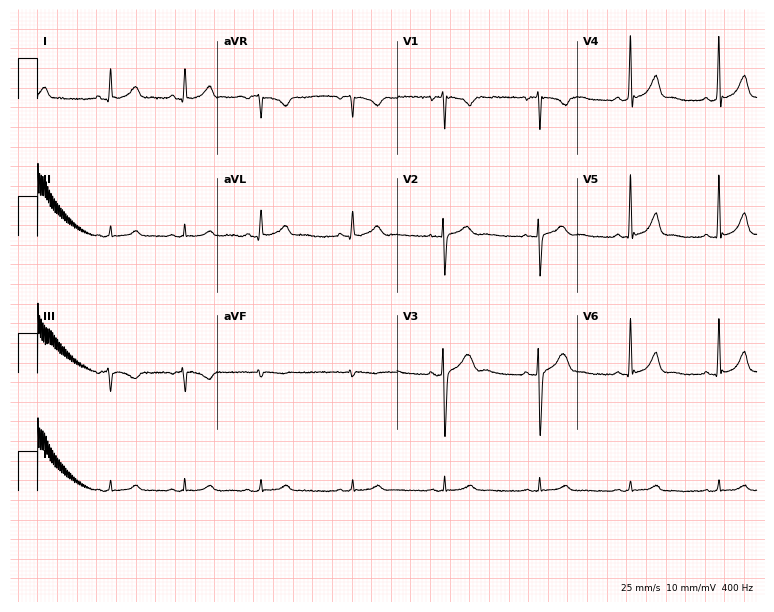
Electrocardiogram (7.3-second recording at 400 Hz), a female, 28 years old. Of the six screened findings (first-degree AV block, right bundle branch block (RBBB), left bundle branch block (LBBB), sinus bradycardia, atrial fibrillation (AF), sinus tachycardia), none is recorded.